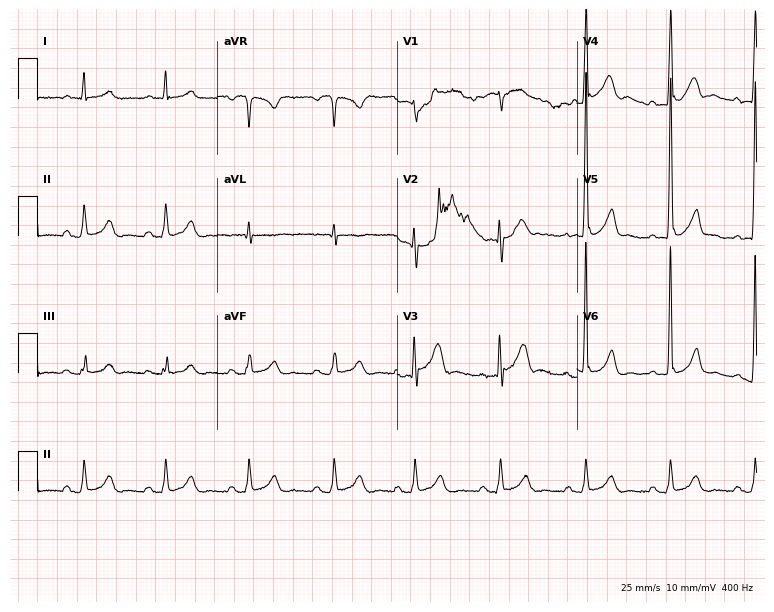
Electrocardiogram, a 58-year-old man. Overall reading on record: normal ECG.